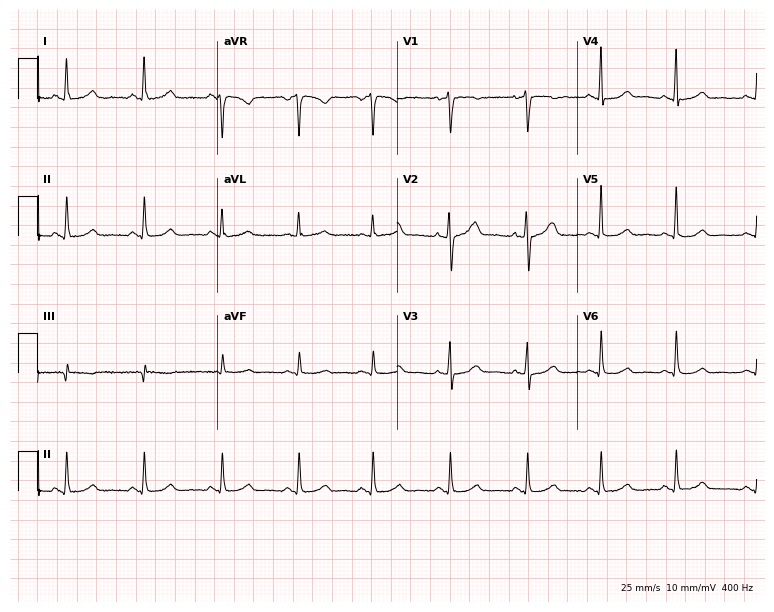
12-lead ECG from a female, 46 years old (7.3-second recording at 400 Hz). Recorded interpretation: within normal limits.